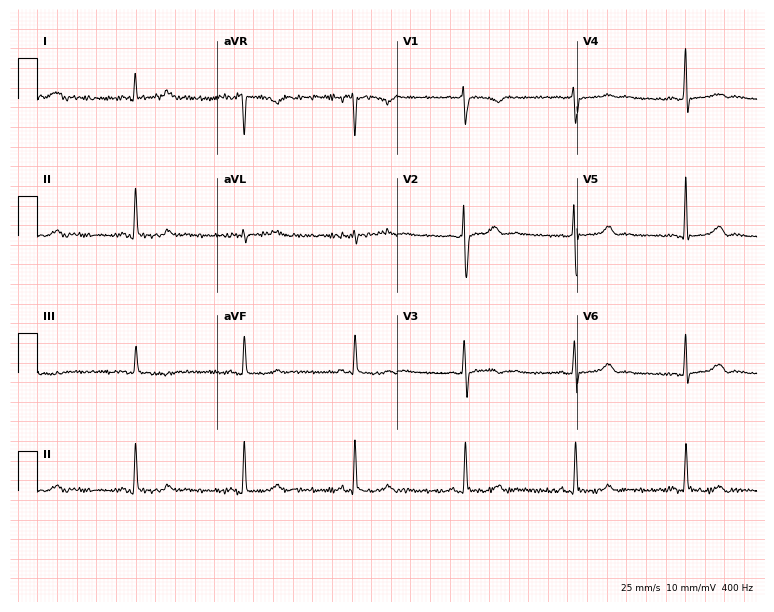
ECG — a female patient, 39 years old. Labelled as a normal ECG.